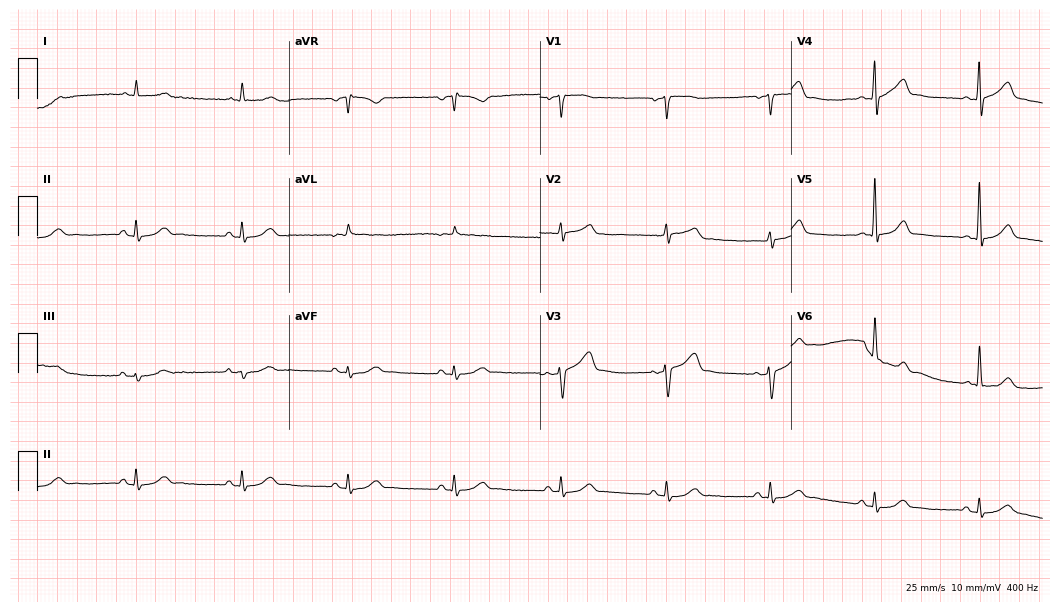
12-lead ECG from an 81-year-old man. Recorded interpretation: within normal limits.